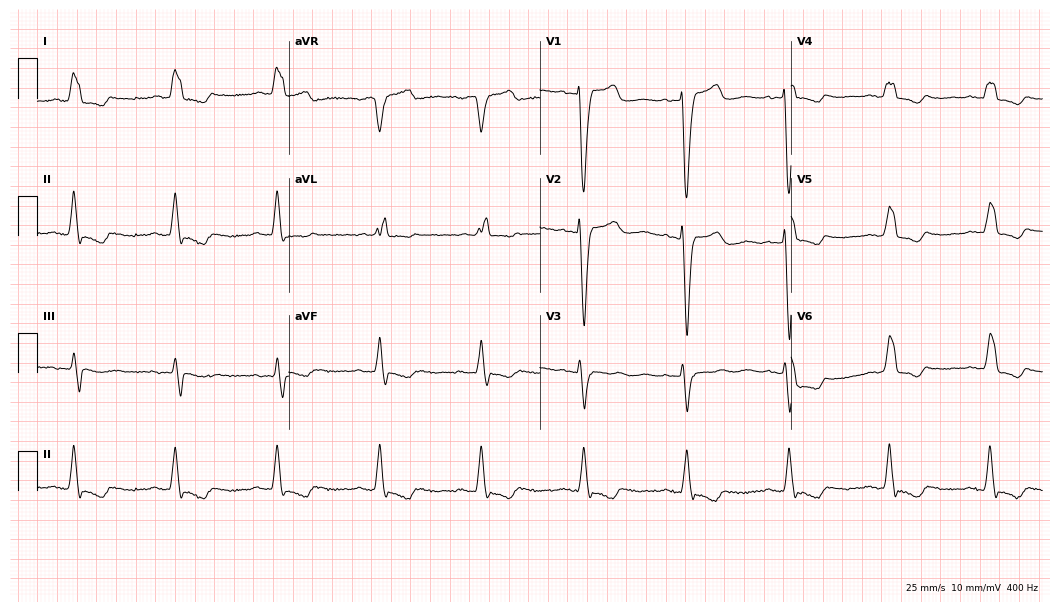
Resting 12-lead electrocardiogram (10.2-second recording at 400 Hz). Patient: a 72-year-old female. The tracing shows left bundle branch block.